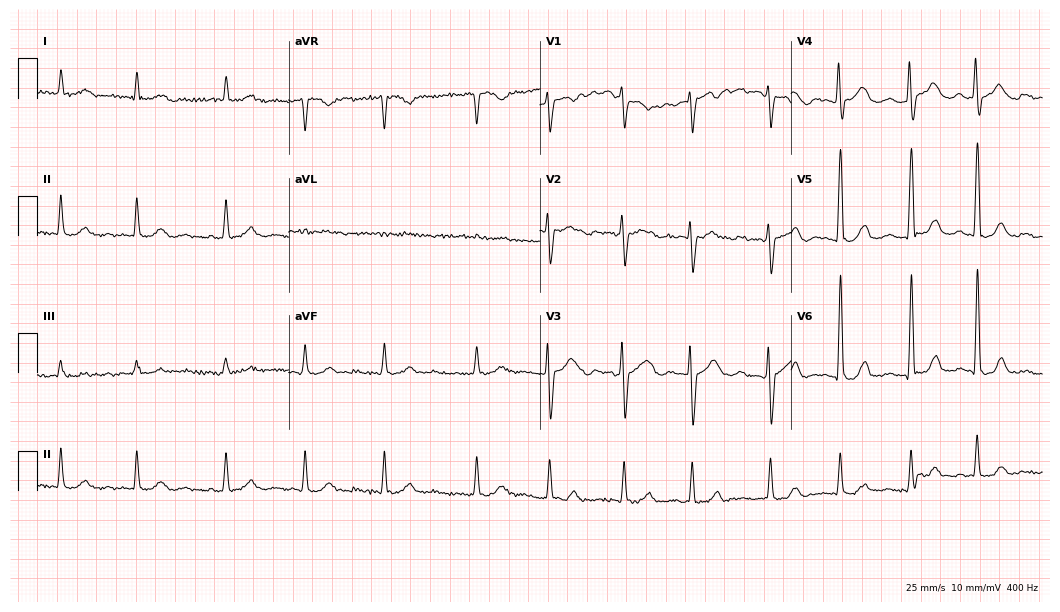
12-lead ECG from a male, 81 years old. No first-degree AV block, right bundle branch block, left bundle branch block, sinus bradycardia, atrial fibrillation or sinus tachycardia recorded for this tracing.